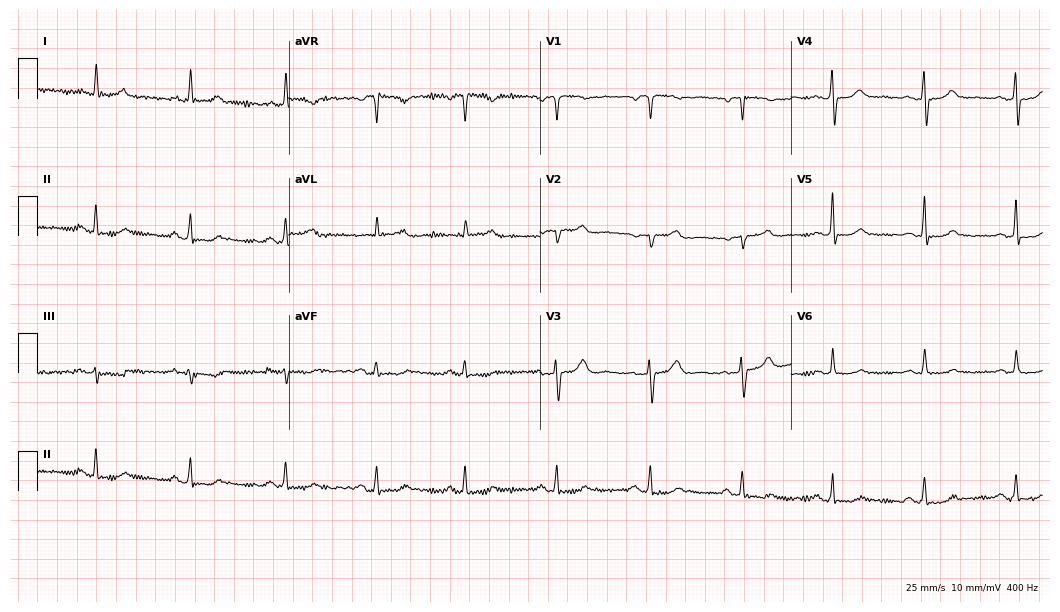
Resting 12-lead electrocardiogram. Patient: a 66-year-old female. None of these six findings is recorded: first-degree AV block, right bundle branch block (RBBB), left bundle branch block (LBBB), sinus bradycardia, atrial fibrillation (AF), sinus tachycardia. Other findings, if any, are not listed.